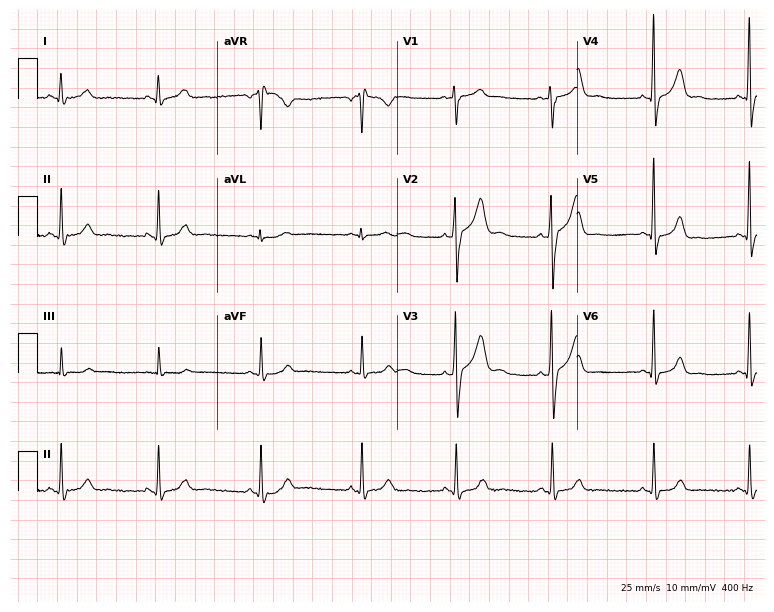
12-lead ECG from a man, 20 years old. Labelled as a normal ECG.